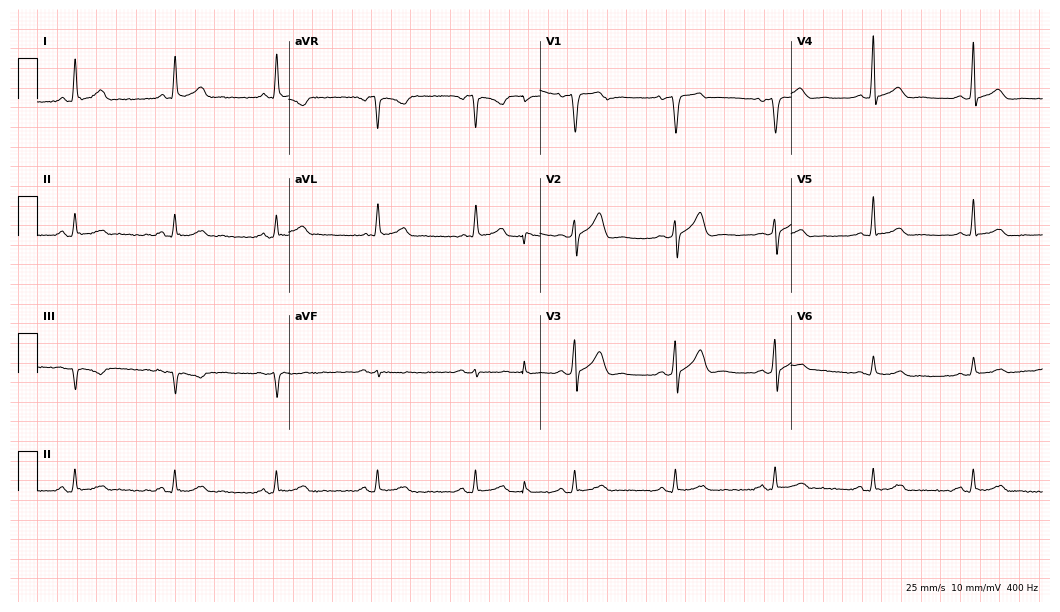
ECG — a man, 60 years old. Labelled as a normal ECG.